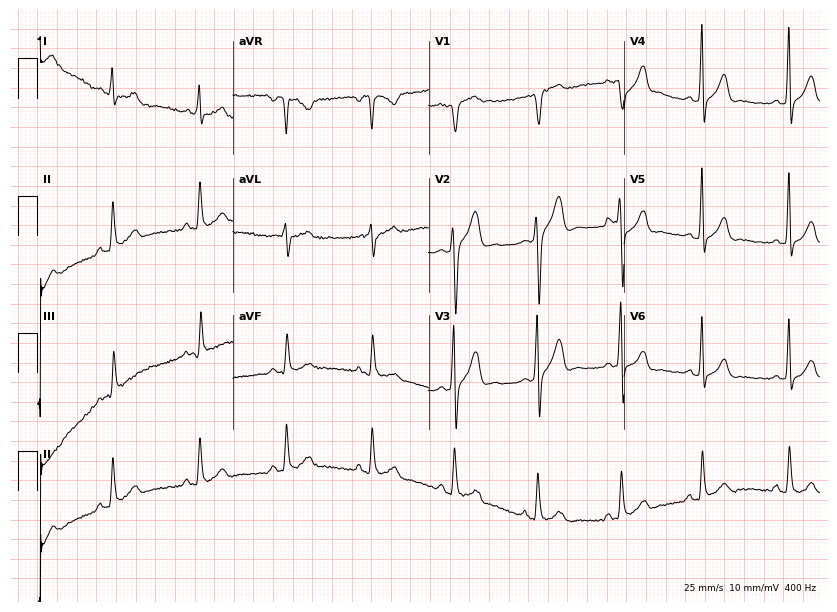
Electrocardiogram (8-second recording at 400 Hz), a male patient, 26 years old. Of the six screened findings (first-degree AV block, right bundle branch block, left bundle branch block, sinus bradycardia, atrial fibrillation, sinus tachycardia), none is recorded.